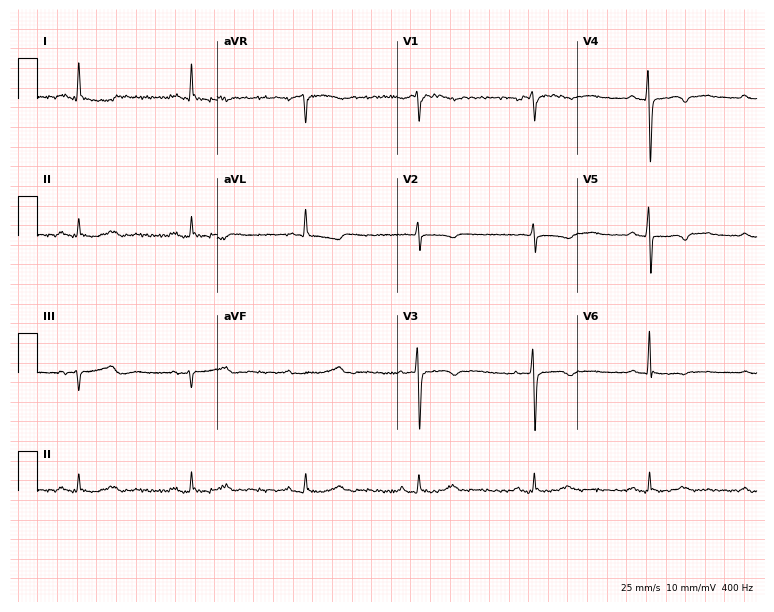
12-lead ECG from a female patient, 55 years old. No first-degree AV block, right bundle branch block (RBBB), left bundle branch block (LBBB), sinus bradycardia, atrial fibrillation (AF) or sinus tachycardia recorded for this tracing.